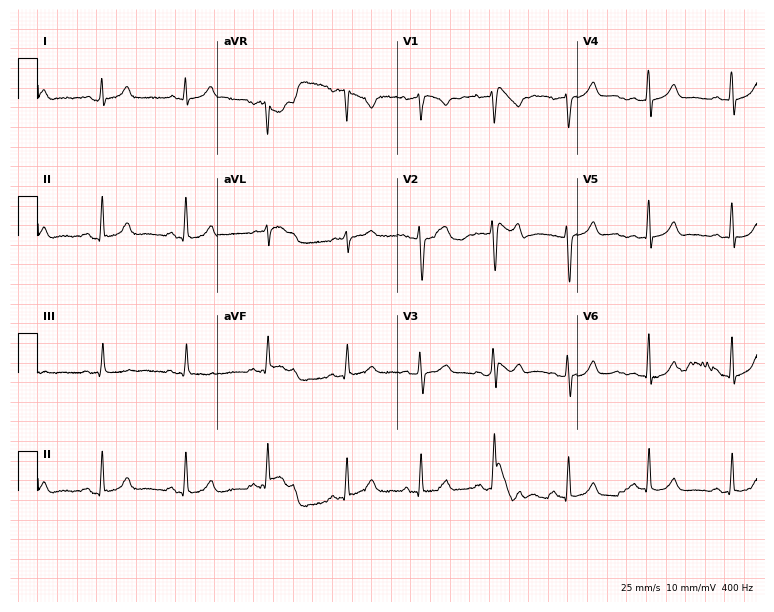
12-lead ECG (7.3-second recording at 400 Hz) from a 24-year-old female patient. Labelled as a normal ECG.